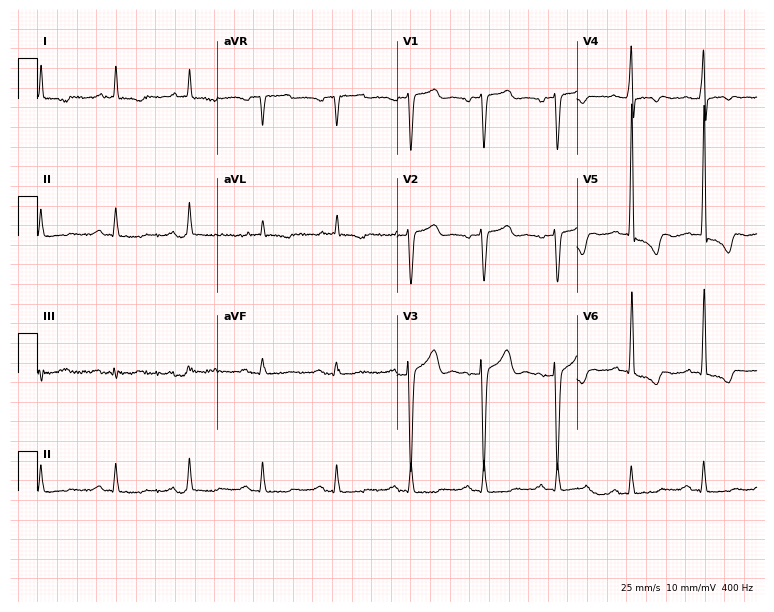
12-lead ECG from a 72-year-old male (7.3-second recording at 400 Hz). No first-degree AV block, right bundle branch block (RBBB), left bundle branch block (LBBB), sinus bradycardia, atrial fibrillation (AF) or sinus tachycardia recorded for this tracing. Only these six findings were labelled.